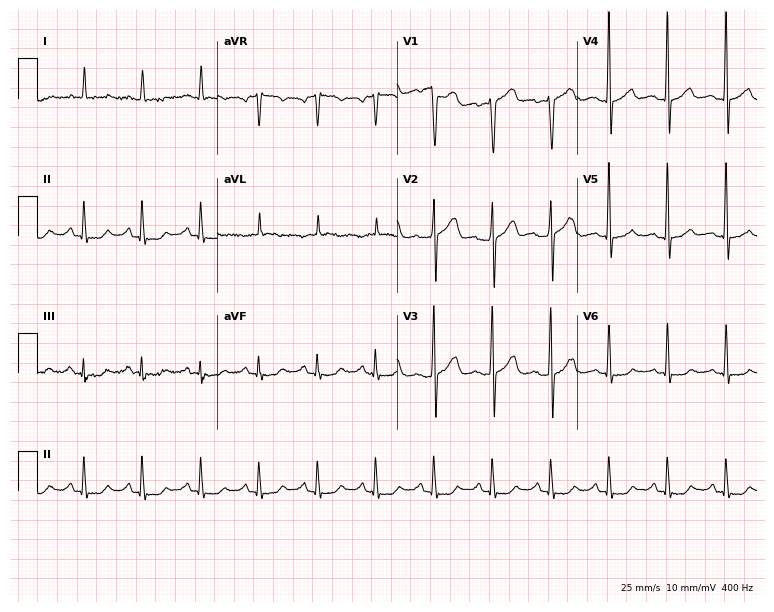
Electrocardiogram (7.3-second recording at 400 Hz), a man, 55 years old. Overall reading on record: normal ECG.